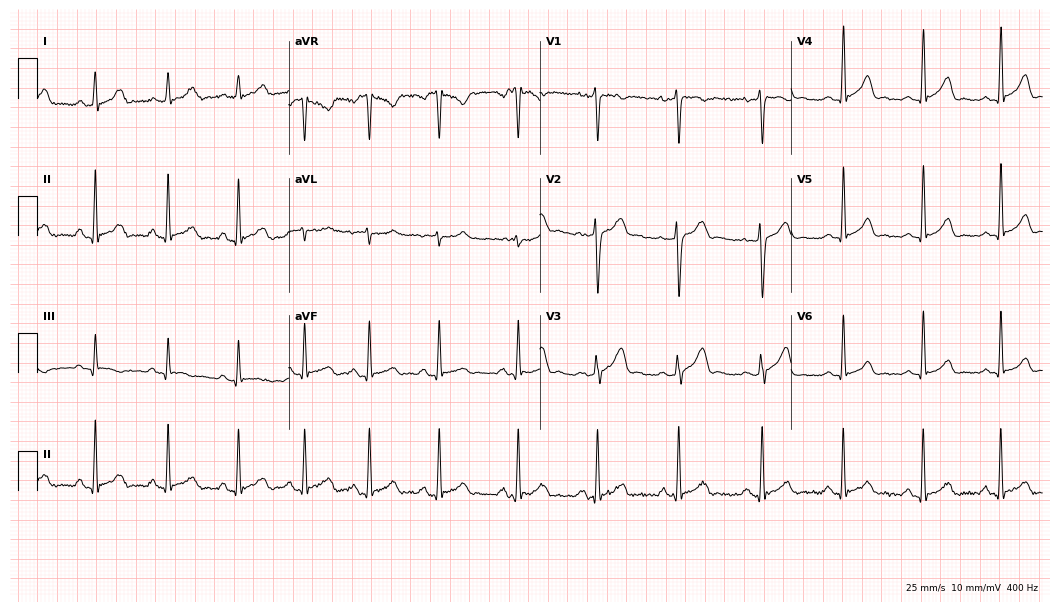
Electrocardiogram (10.2-second recording at 400 Hz), a female, 24 years old. Overall reading on record: normal ECG.